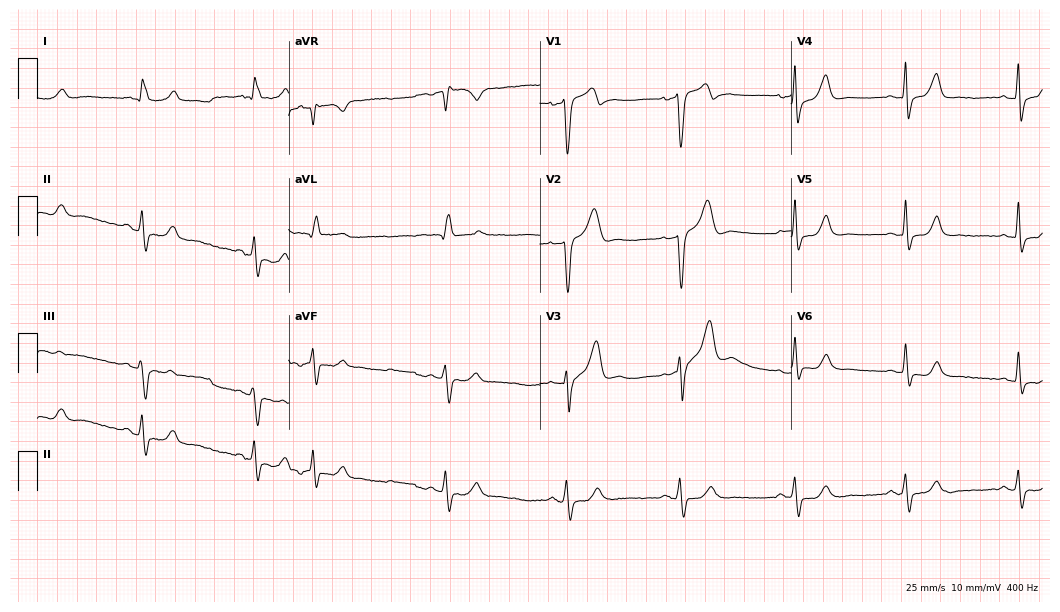
12-lead ECG (10.2-second recording at 400 Hz) from a male patient, 74 years old. Screened for six findings — first-degree AV block, right bundle branch block, left bundle branch block, sinus bradycardia, atrial fibrillation, sinus tachycardia — none is recorded. Only these six findings were labelled.